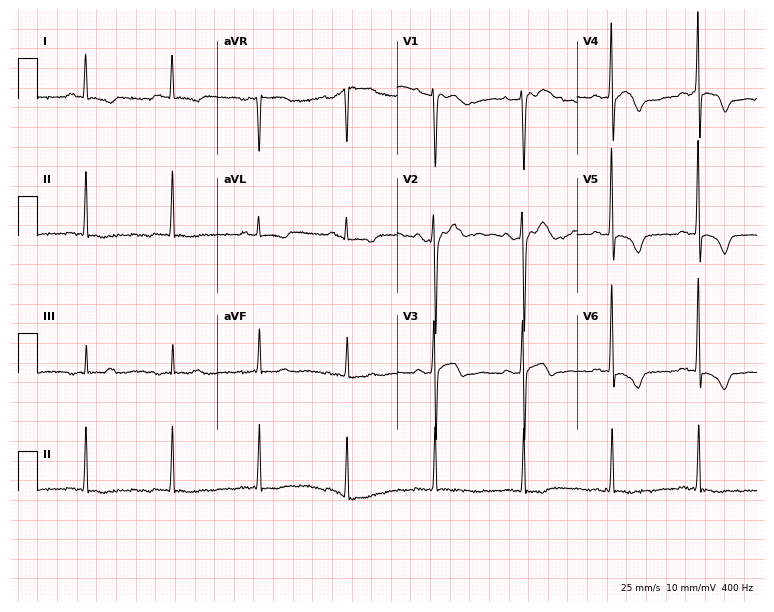
Standard 12-lead ECG recorded from a man, 64 years old (7.3-second recording at 400 Hz). None of these six findings is recorded: first-degree AV block, right bundle branch block, left bundle branch block, sinus bradycardia, atrial fibrillation, sinus tachycardia. Other findings, if any, are not listed.